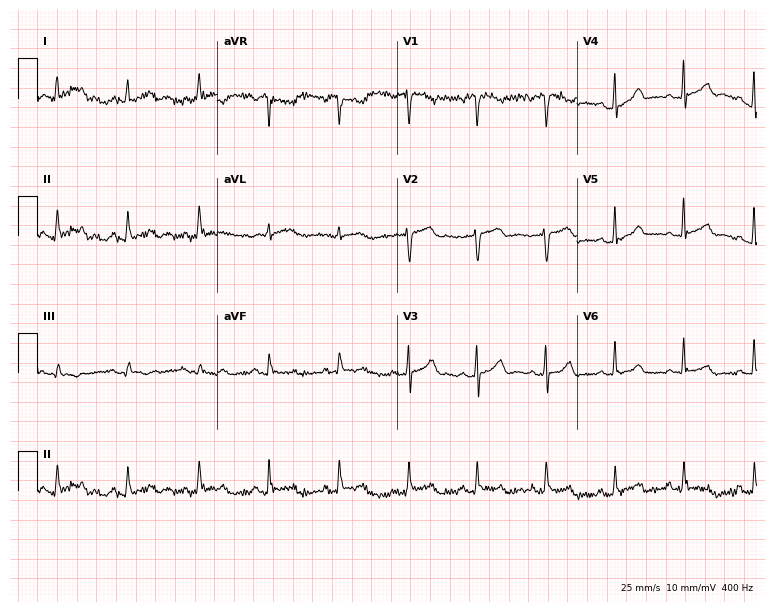
12-lead ECG from a 49-year-old female. Recorded interpretation: within normal limits.